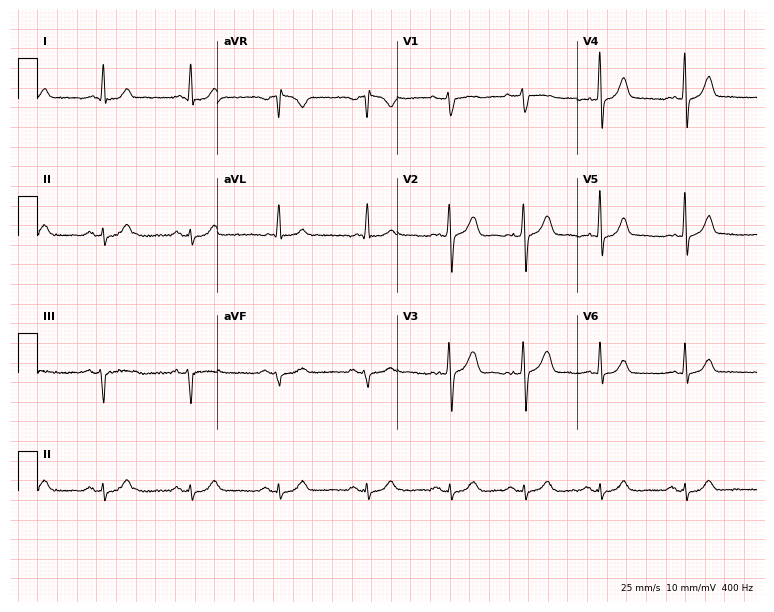
Standard 12-lead ECG recorded from a male, 73 years old. None of these six findings is recorded: first-degree AV block, right bundle branch block, left bundle branch block, sinus bradycardia, atrial fibrillation, sinus tachycardia. Only these six findings were labelled.